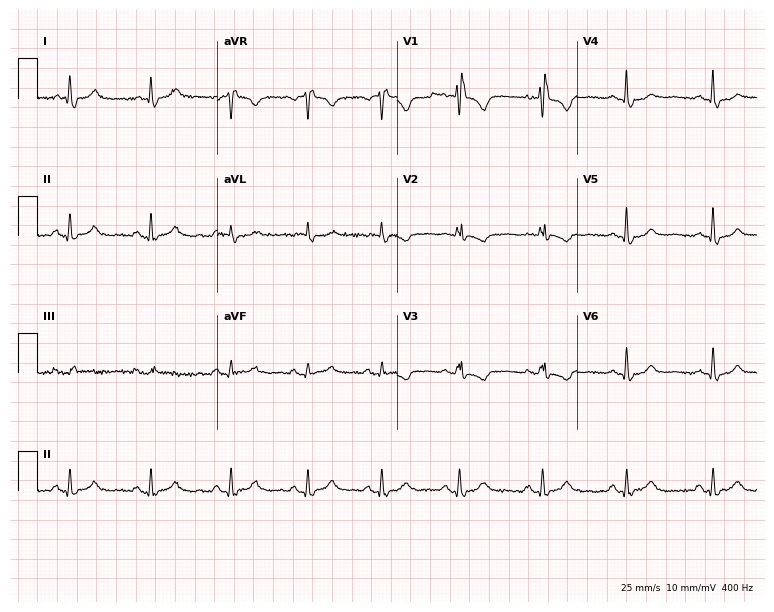
Resting 12-lead electrocardiogram (7.3-second recording at 400 Hz). Patient: a female, 58 years old. The tracing shows right bundle branch block.